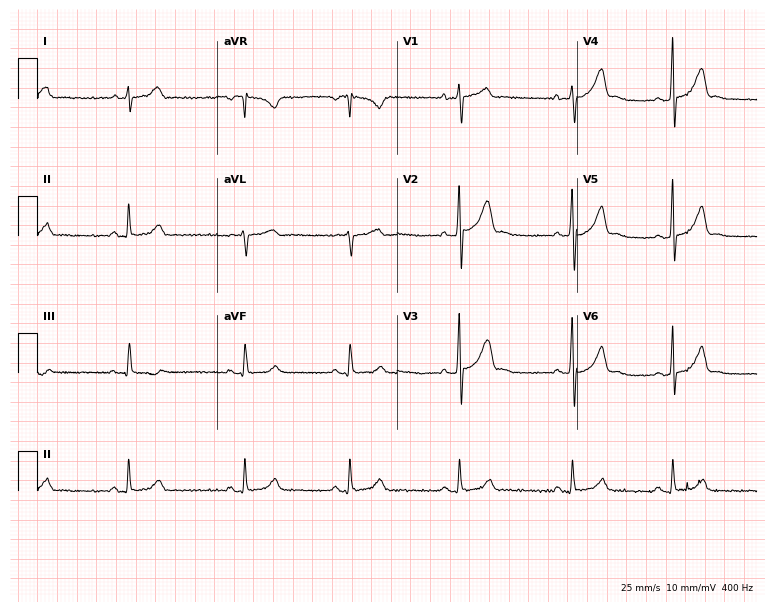
ECG — a male patient, 19 years old. Screened for six findings — first-degree AV block, right bundle branch block (RBBB), left bundle branch block (LBBB), sinus bradycardia, atrial fibrillation (AF), sinus tachycardia — none is recorded. Findings outside these six are not listed.